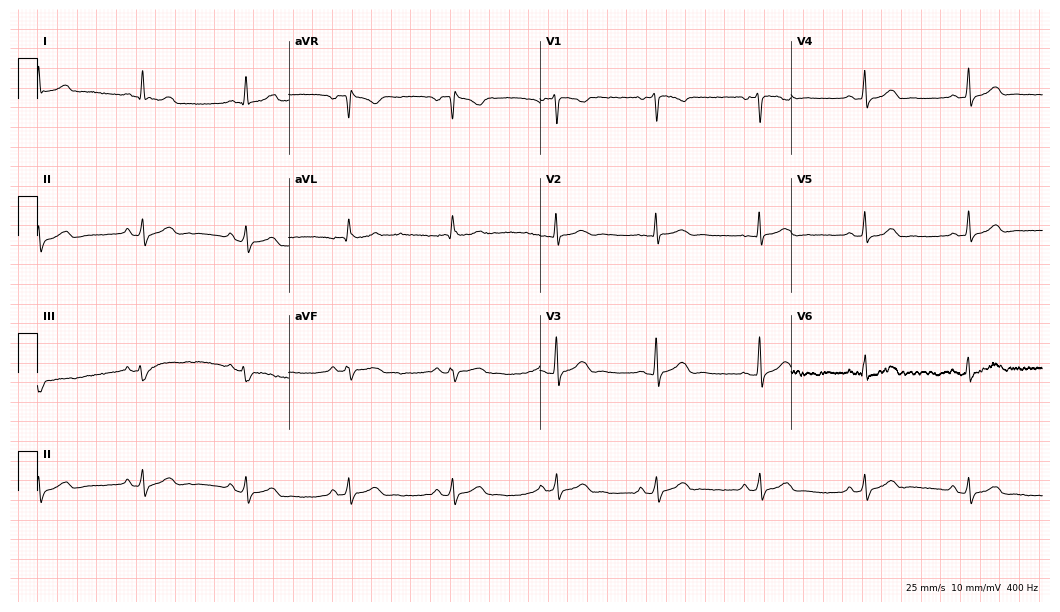
12-lead ECG (10.2-second recording at 400 Hz) from a female, 37 years old. Labelled as a normal ECG.